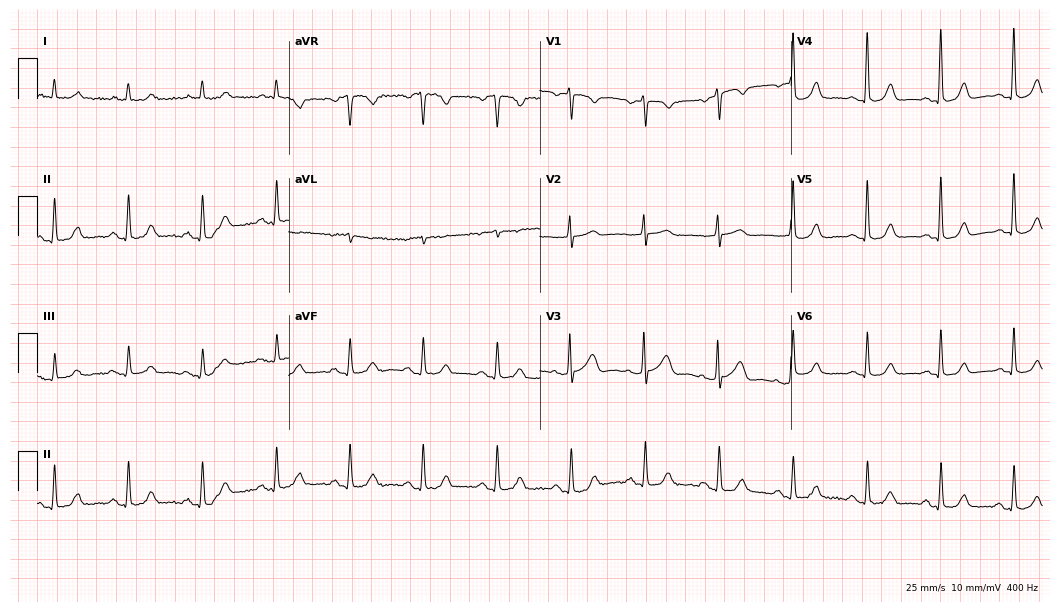
12-lead ECG (10.2-second recording at 400 Hz) from a female, 81 years old. Labelled as a normal ECG.